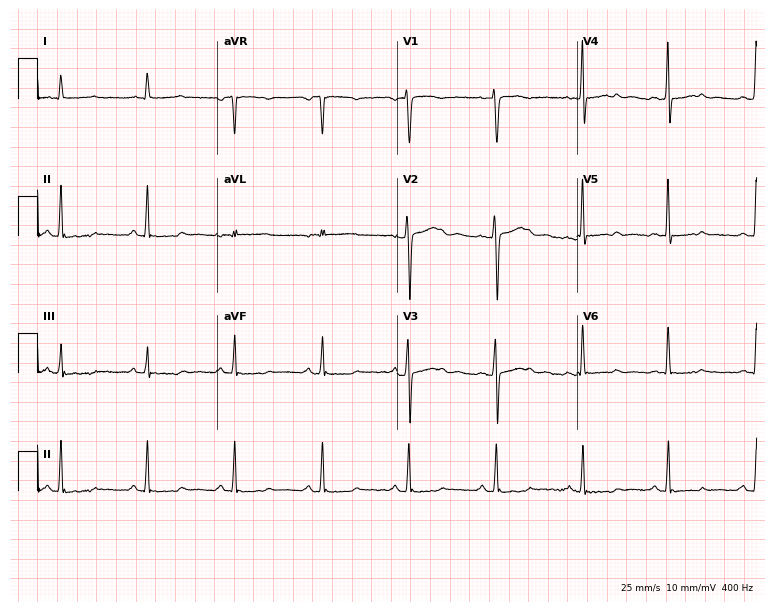
Standard 12-lead ECG recorded from a 54-year-old woman (7.3-second recording at 400 Hz). None of these six findings is recorded: first-degree AV block, right bundle branch block, left bundle branch block, sinus bradycardia, atrial fibrillation, sinus tachycardia.